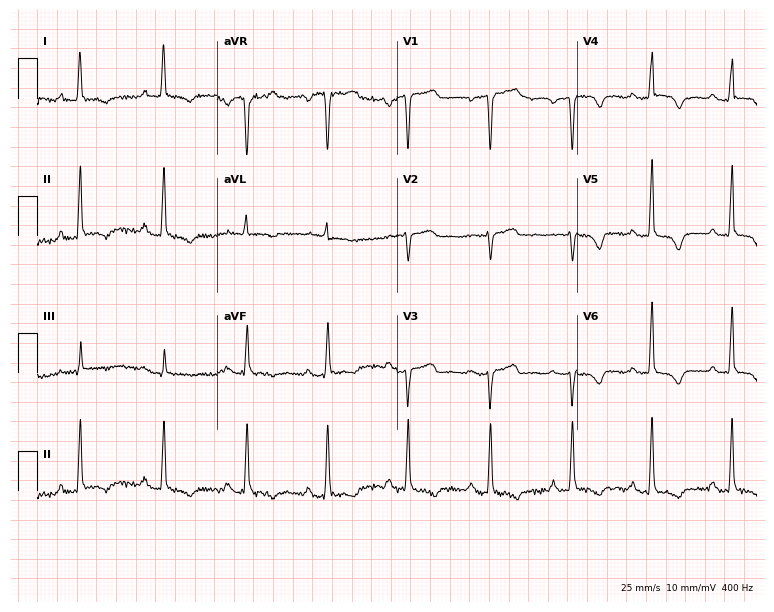
Electrocardiogram, a female, 46 years old. Of the six screened findings (first-degree AV block, right bundle branch block (RBBB), left bundle branch block (LBBB), sinus bradycardia, atrial fibrillation (AF), sinus tachycardia), none is recorded.